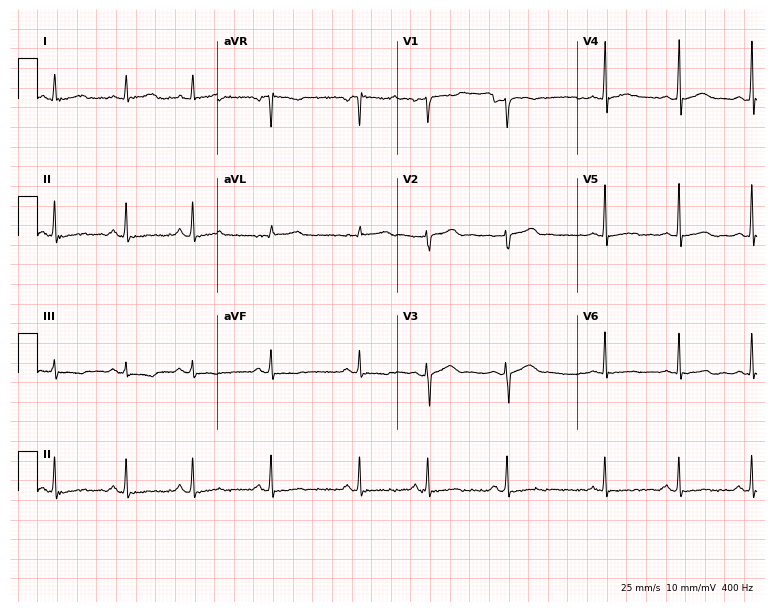
Resting 12-lead electrocardiogram. Patient: a female, 25 years old. None of these six findings is recorded: first-degree AV block, right bundle branch block, left bundle branch block, sinus bradycardia, atrial fibrillation, sinus tachycardia.